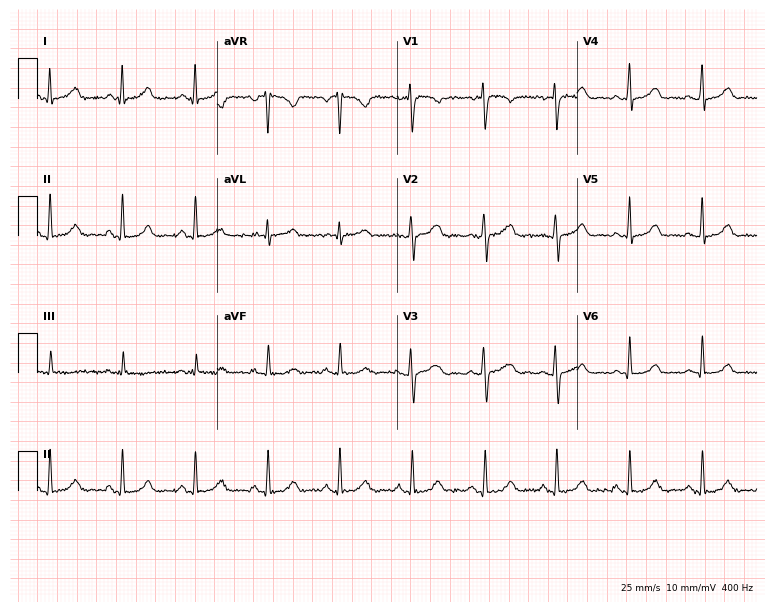
12-lead ECG from a female patient, 45 years old. Screened for six findings — first-degree AV block, right bundle branch block, left bundle branch block, sinus bradycardia, atrial fibrillation, sinus tachycardia — none is recorded.